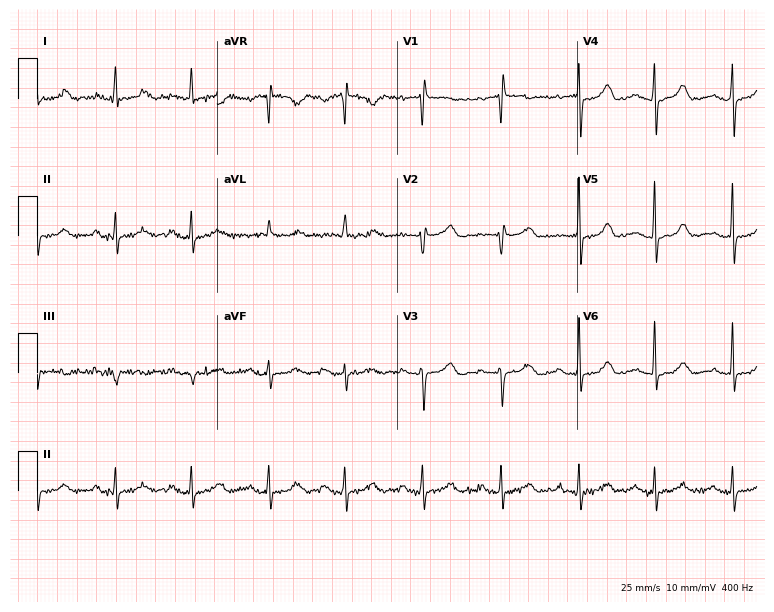
Electrocardiogram, a female, 68 years old. Overall reading on record: normal ECG.